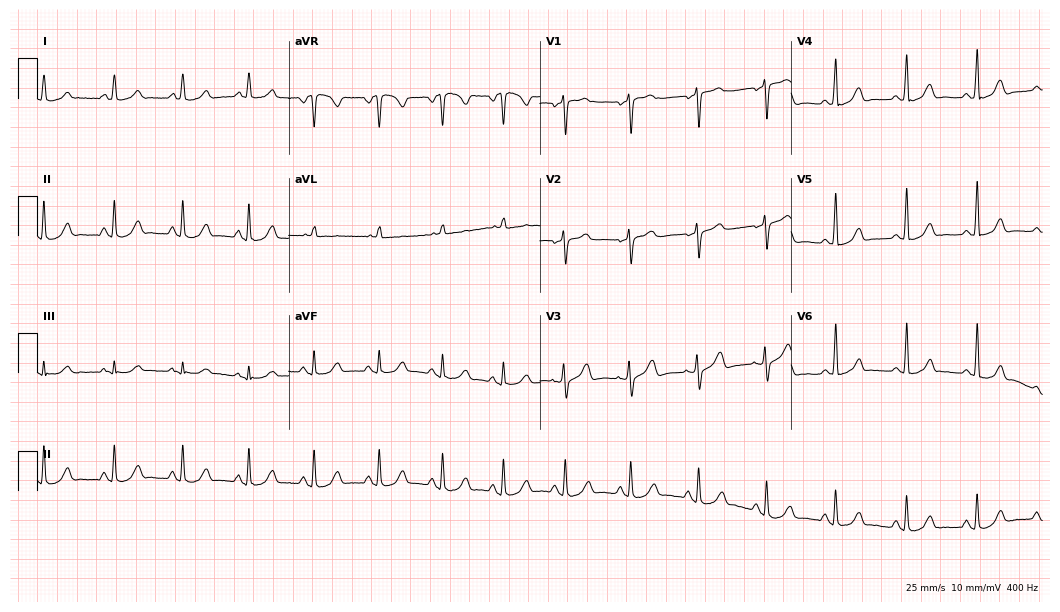
12-lead ECG (10.2-second recording at 400 Hz) from a 40-year-old woman. Labelled as a normal ECG.